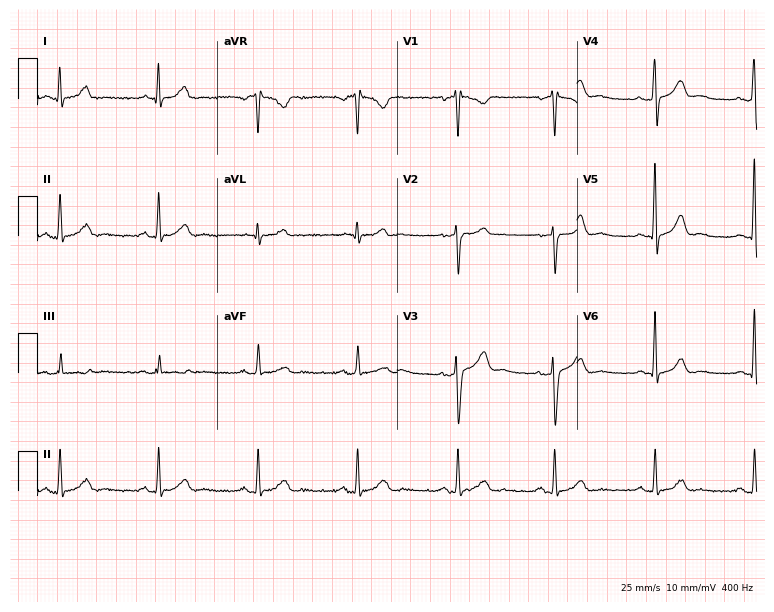
Standard 12-lead ECG recorded from a 43-year-old man. None of these six findings is recorded: first-degree AV block, right bundle branch block (RBBB), left bundle branch block (LBBB), sinus bradycardia, atrial fibrillation (AF), sinus tachycardia.